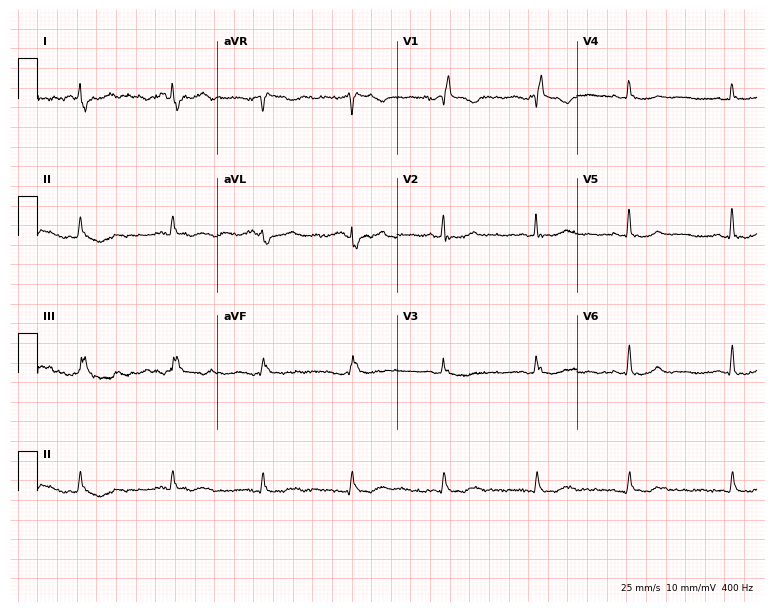
12-lead ECG (7.3-second recording at 400 Hz) from a woman, 69 years old. Findings include right bundle branch block.